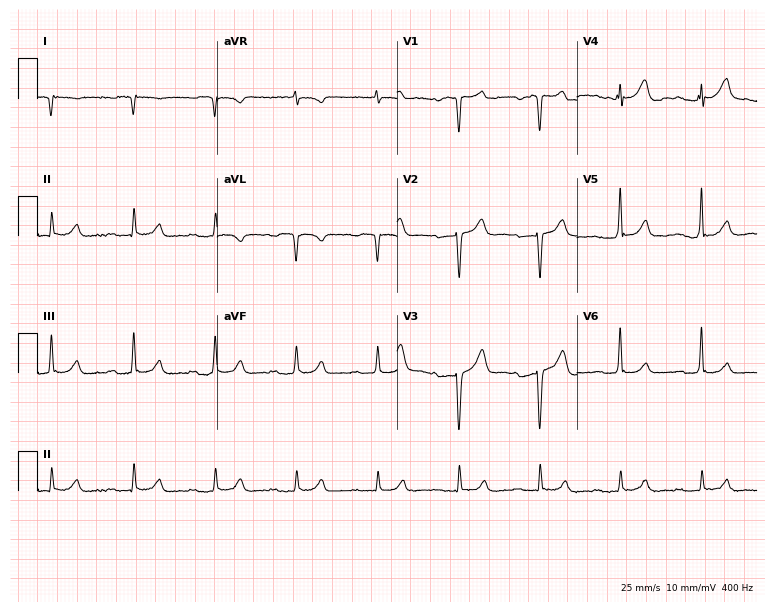
Resting 12-lead electrocardiogram (7.3-second recording at 400 Hz). Patient: a 75-year-old male. The tracing shows first-degree AV block.